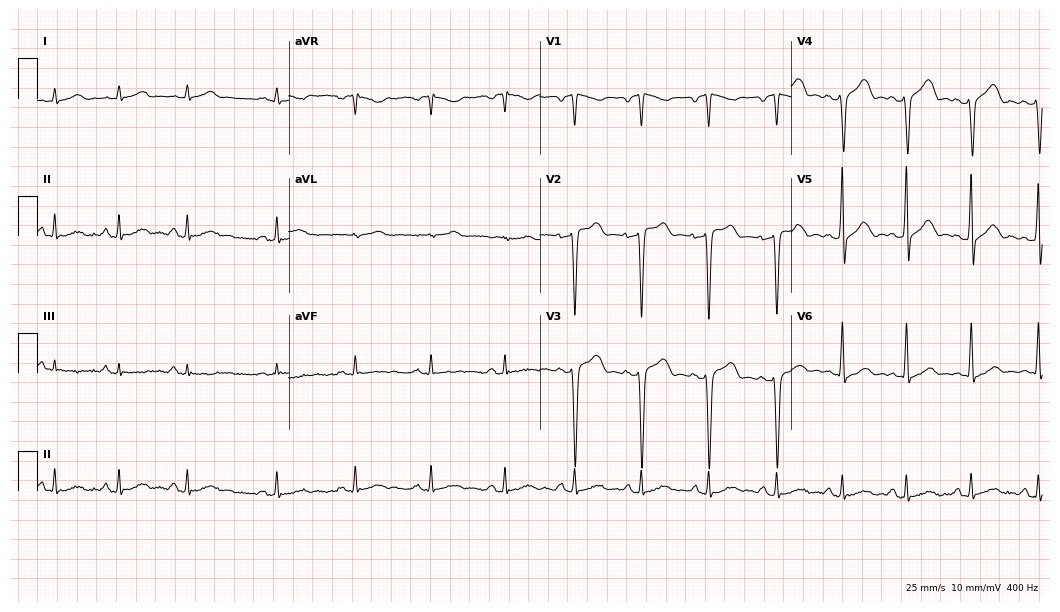
Electrocardiogram, a 38-year-old male patient. Overall reading on record: normal ECG.